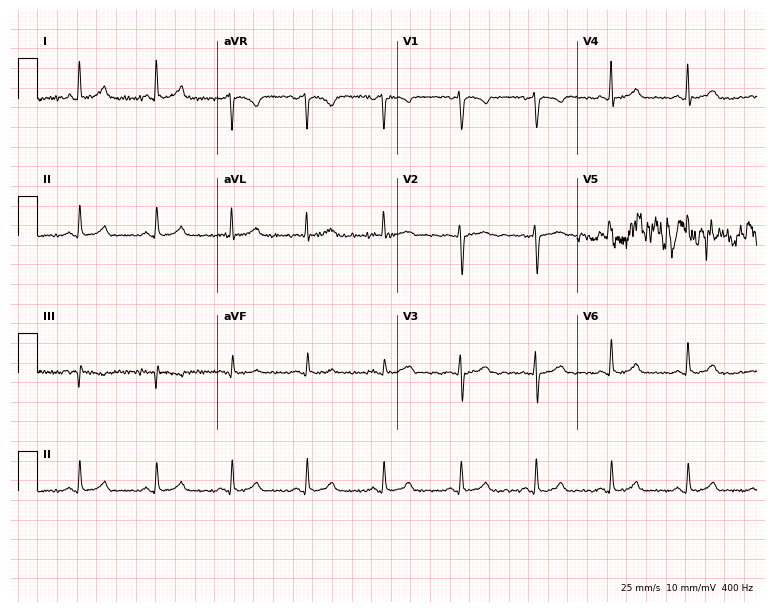
Standard 12-lead ECG recorded from a female patient, 46 years old (7.3-second recording at 400 Hz). Read as a normal ECG.